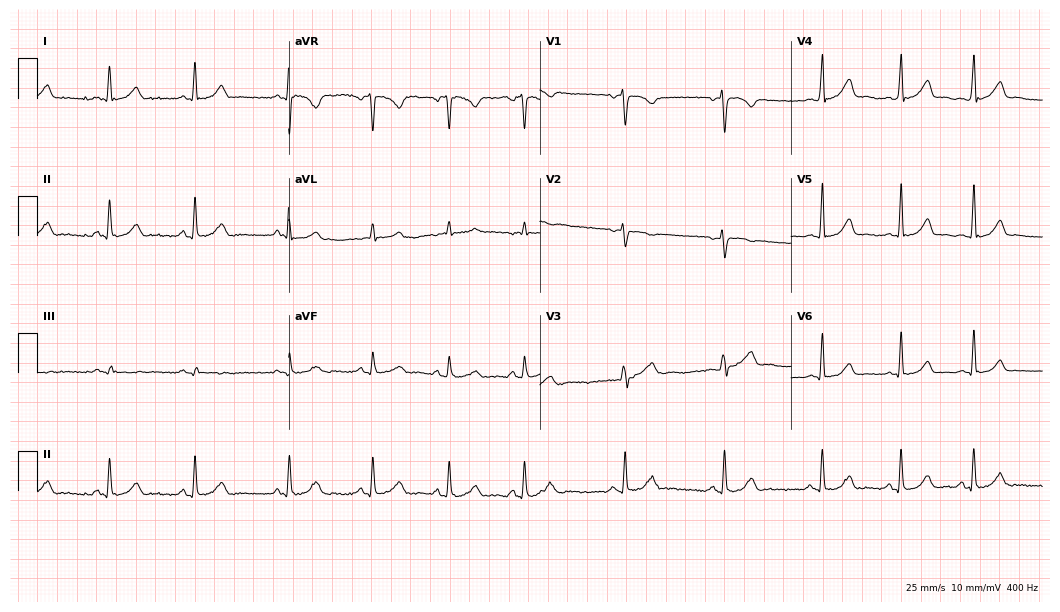
Standard 12-lead ECG recorded from a 19-year-old woman (10.2-second recording at 400 Hz). Read as a normal ECG.